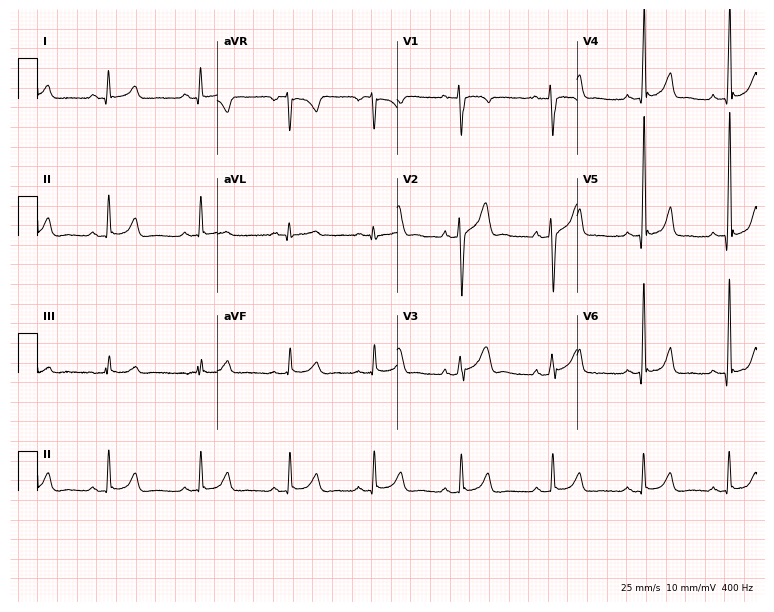
ECG (7.3-second recording at 400 Hz) — a 33-year-old male patient. Screened for six findings — first-degree AV block, right bundle branch block, left bundle branch block, sinus bradycardia, atrial fibrillation, sinus tachycardia — none is recorded.